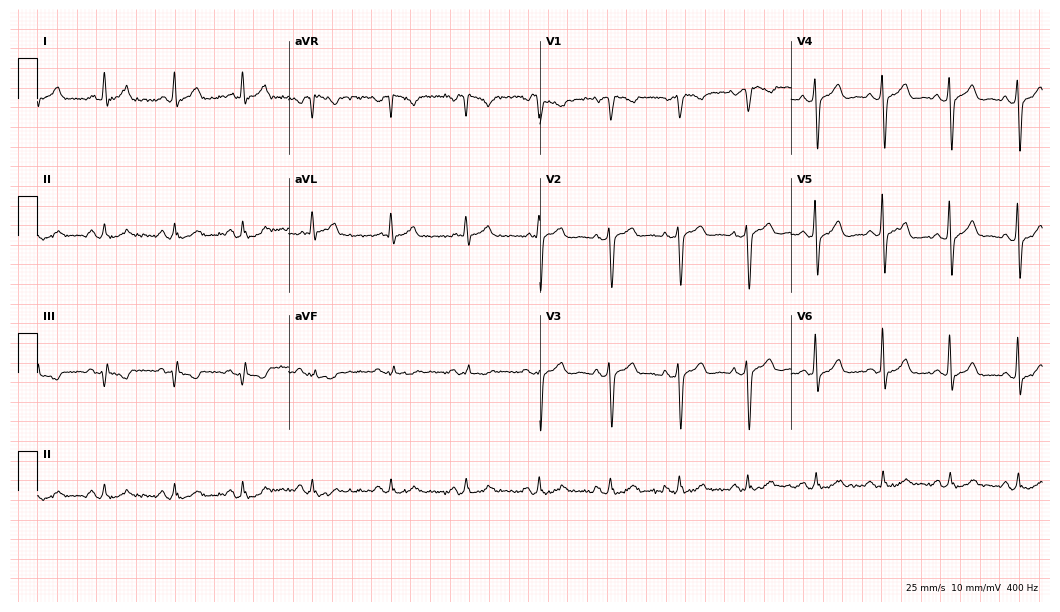
Standard 12-lead ECG recorded from a male, 59 years old. Read as a normal ECG.